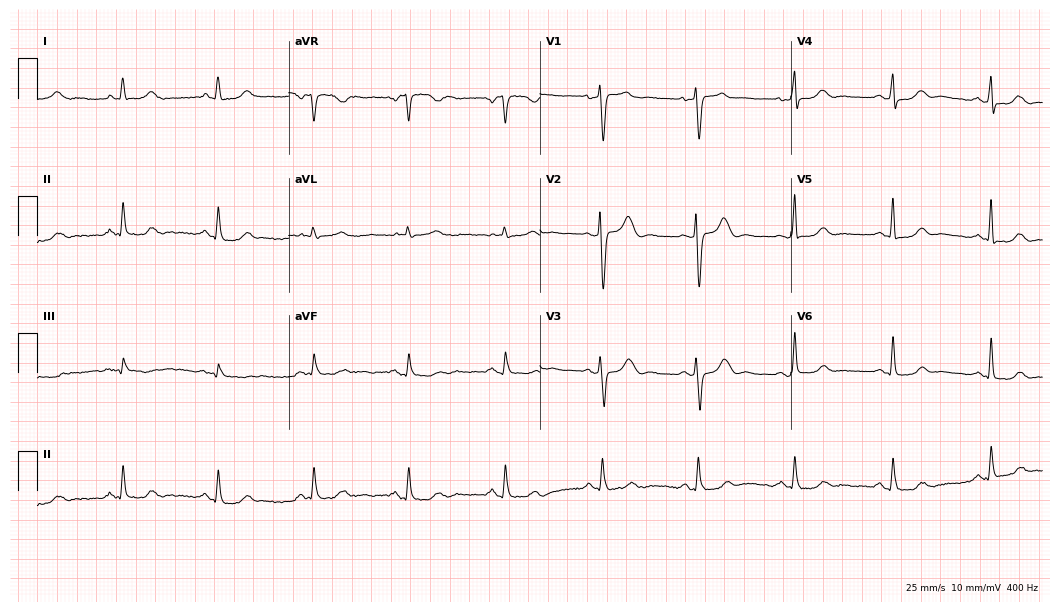
Standard 12-lead ECG recorded from a female, 68 years old (10.2-second recording at 400 Hz). Read as a normal ECG.